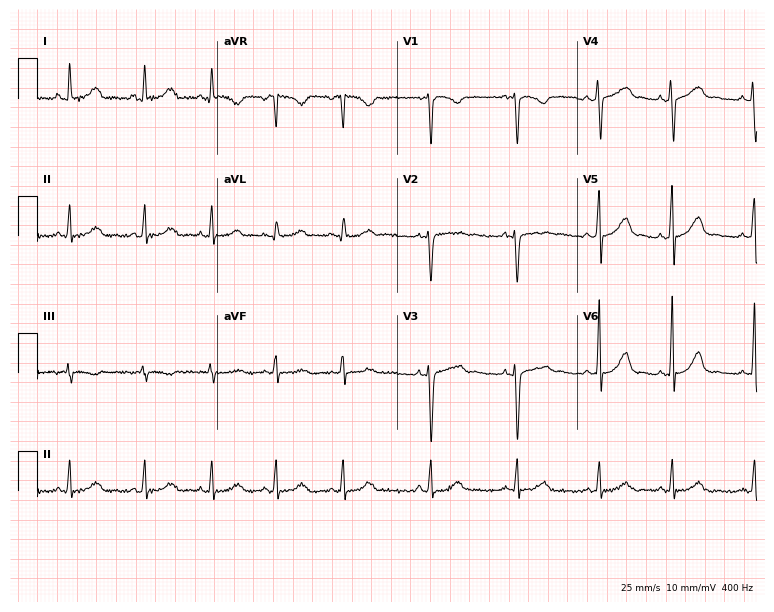
ECG — a female patient, 28 years old. Labelled as a normal ECG.